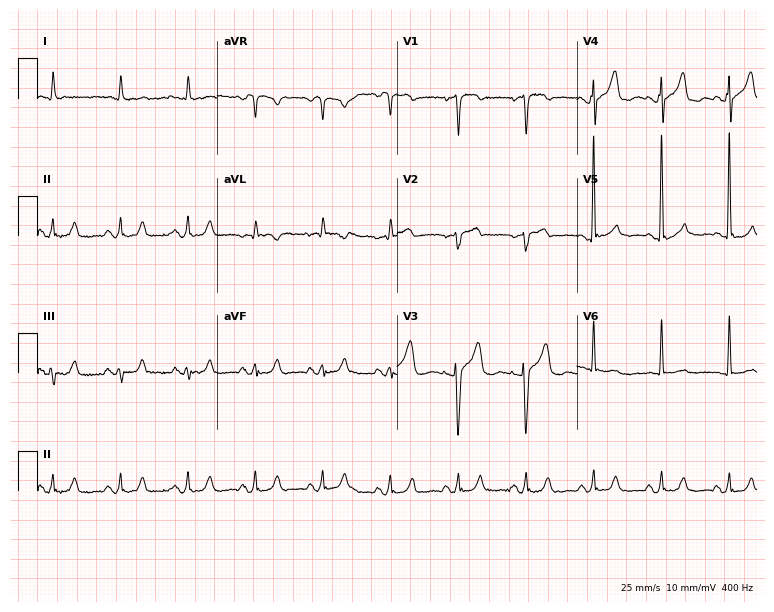
Standard 12-lead ECG recorded from an 80-year-old male patient. None of these six findings is recorded: first-degree AV block, right bundle branch block, left bundle branch block, sinus bradycardia, atrial fibrillation, sinus tachycardia.